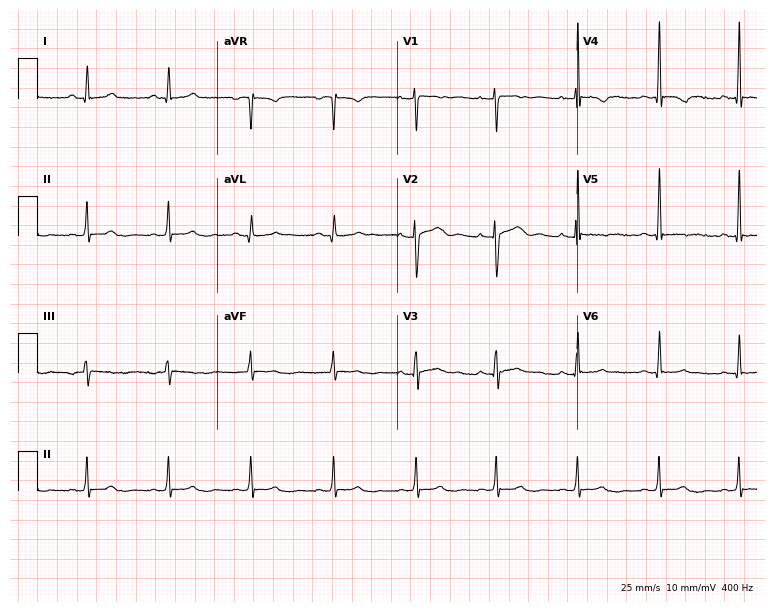
Resting 12-lead electrocardiogram. Patient: a female, 45 years old. None of these six findings is recorded: first-degree AV block, right bundle branch block, left bundle branch block, sinus bradycardia, atrial fibrillation, sinus tachycardia. Findings outside these six are not listed.